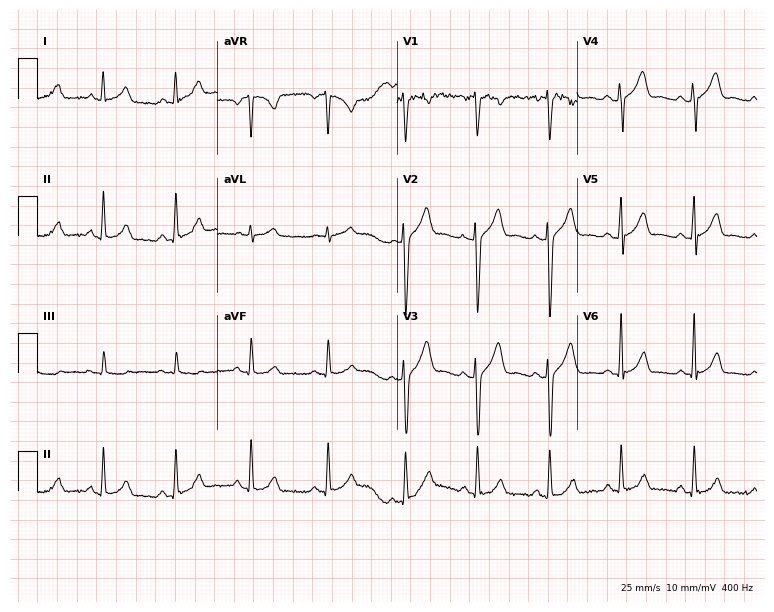
Electrocardiogram, a 23-year-old male. Overall reading on record: normal ECG.